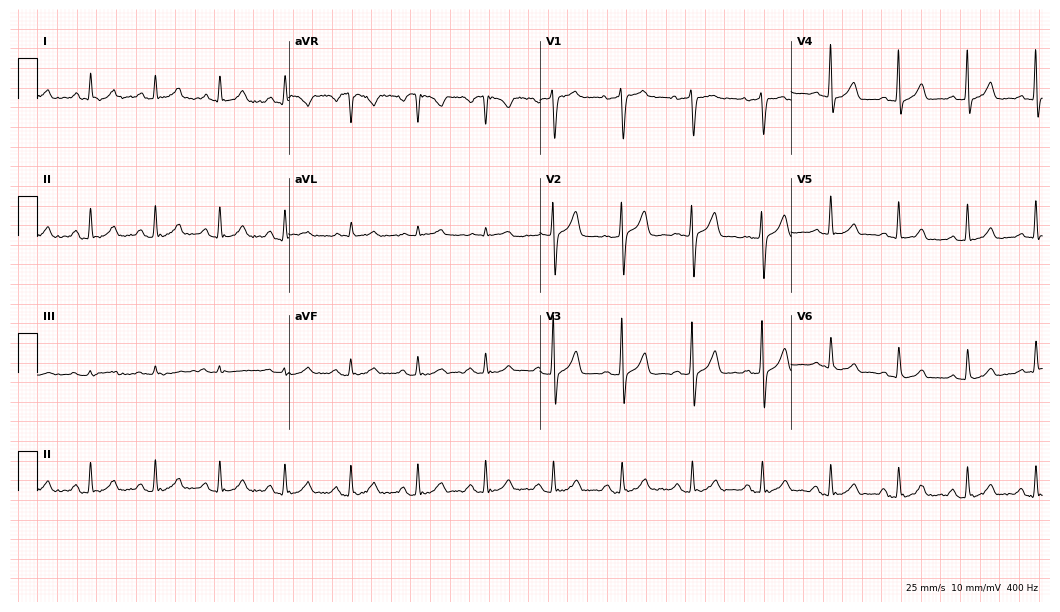
Resting 12-lead electrocardiogram (10.2-second recording at 400 Hz). Patient: a man, 58 years old. Read as a normal ECG.